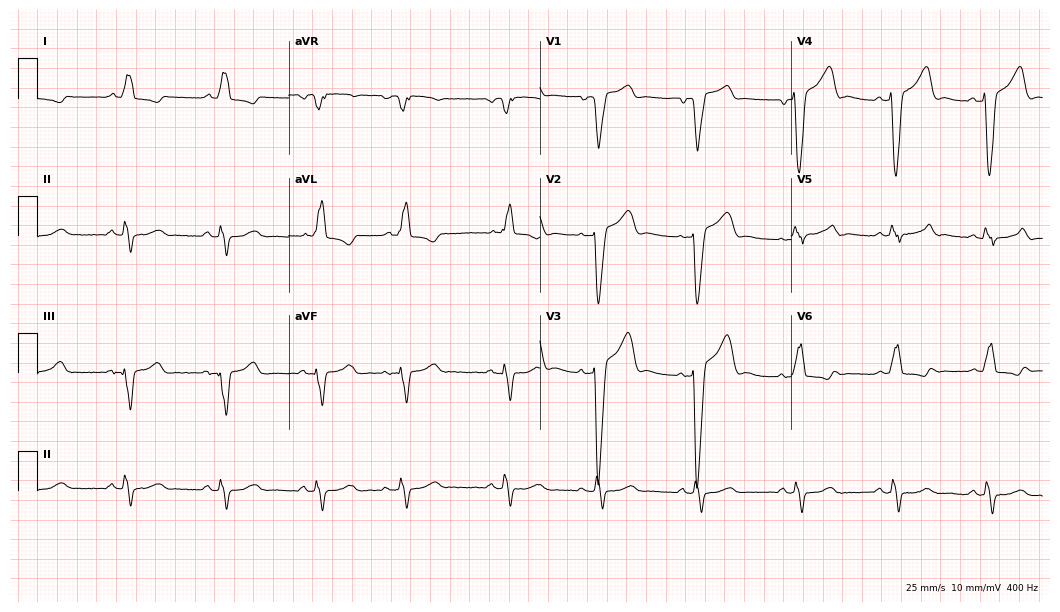
Electrocardiogram, a man, 75 years old. Interpretation includes left bundle branch block.